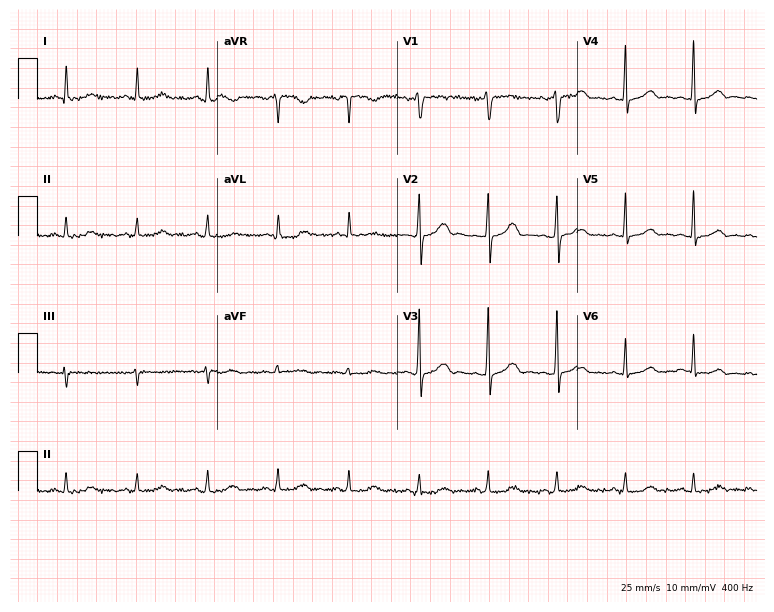
Resting 12-lead electrocardiogram. Patient: a 47-year-old woman. None of these six findings is recorded: first-degree AV block, right bundle branch block, left bundle branch block, sinus bradycardia, atrial fibrillation, sinus tachycardia. Only these six findings were labelled.